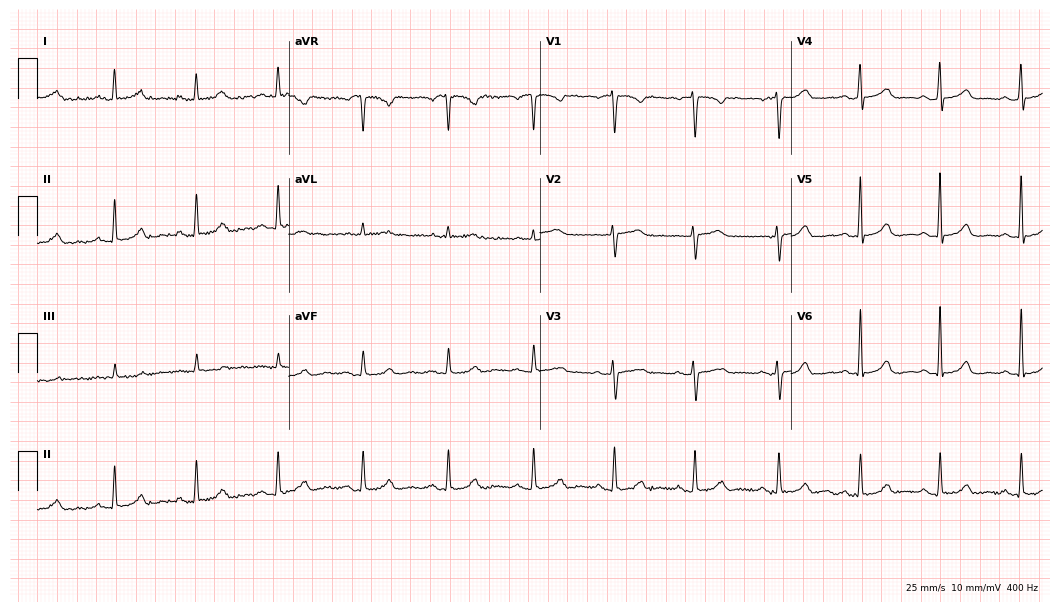
12-lead ECG from a 45-year-old woman. Recorded interpretation: within normal limits.